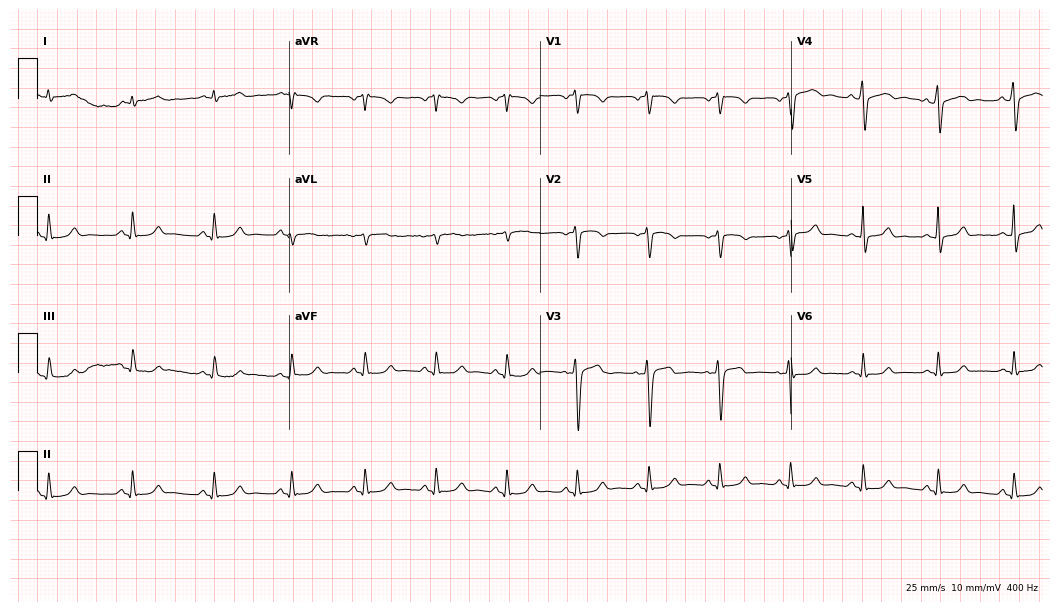
12-lead ECG from a 30-year-old man. Labelled as a normal ECG.